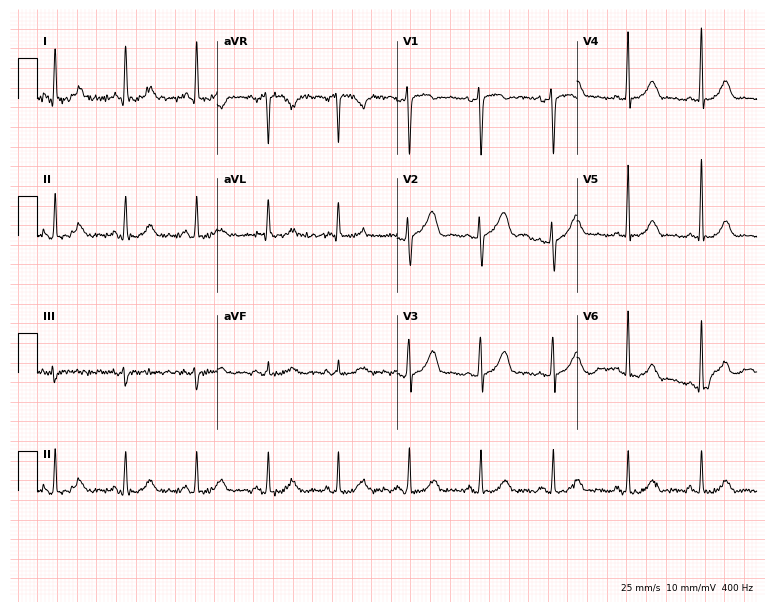
12-lead ECG from a female, 67 years old. No first-degree AV block, right bundle branch block (RBBB), left bundle branch block (LBBB), sinus bradycardia, atrial fibrillation (AF) or sinus tachycardia recorded for this tracing.